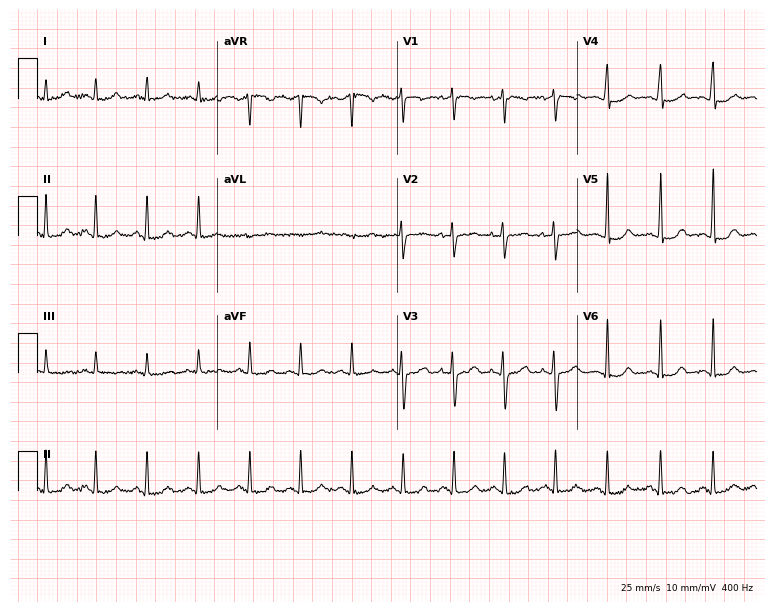
Resting 12-lead electrocardiogram (7.3-second recording at 400 Hz). Patient: a 19-year-old female. The tracing shows sinus tachycardia (a sinus rate of 100 beats per minute or more).